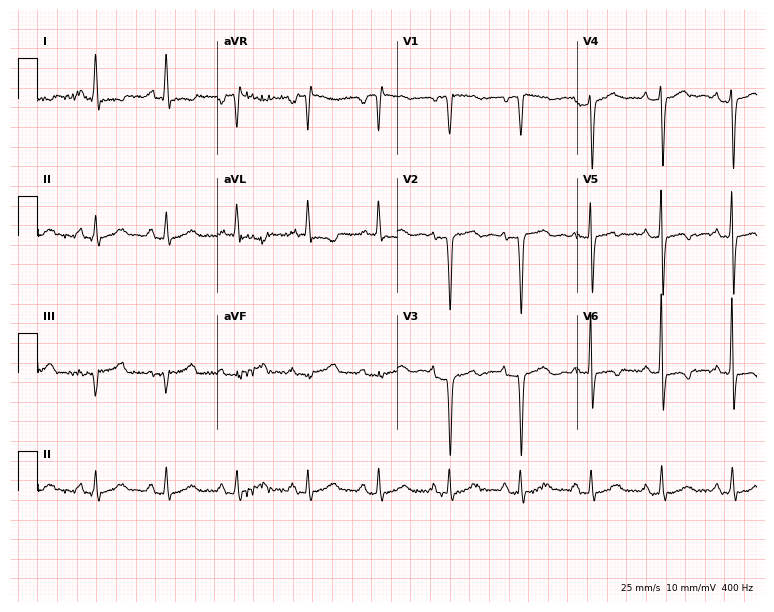
Electrocardiogram (7.3-second recording at 400 Hz), a 70-year-old female patient. Of the six screened findings (first-degree AV block, right bundle branch block, left bundle branch block, sinus bradycardia, atrial fibrillation, sinus tachycardia), none is recorded. Only these six findings were labelled.